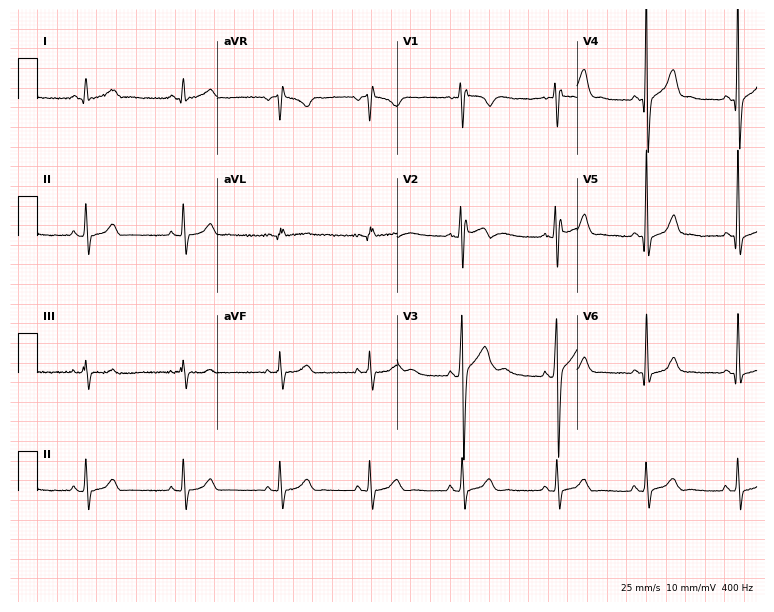
Standard 12-lead ECG recorded from a 27-year-old male patient (7.3-second recording at 400 Hz). None of these six findings is recorded: first-degree AV block, right bundle branch block, left bundle branch block, sinus bradycardia, atrial fibrillation, sinus tachycardia. Only these six findings were labelled.